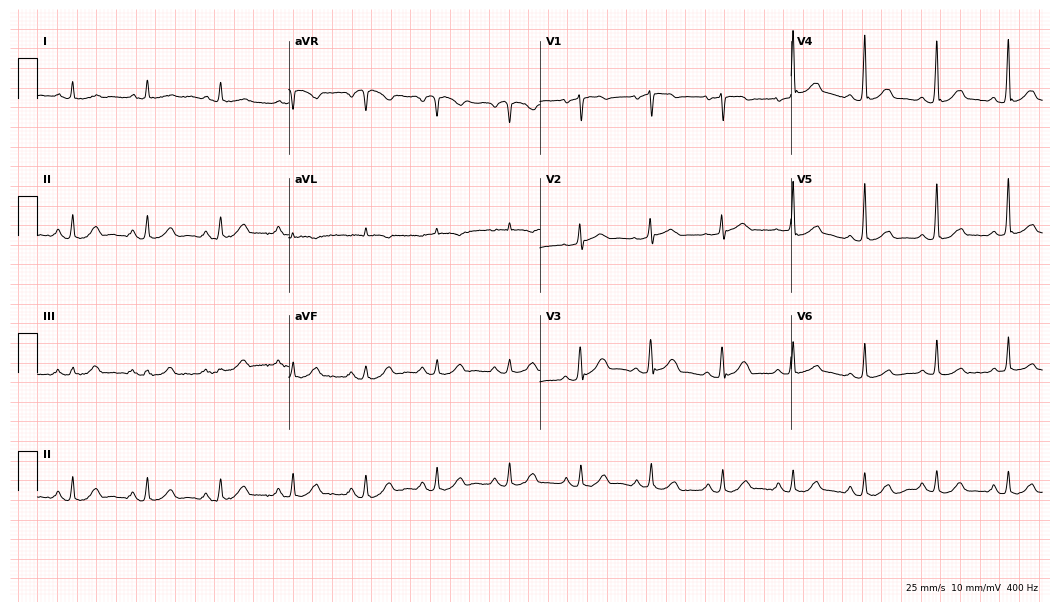
12-lead ECG from a 76-year-old female patient (10.2-second recording at 400 Hz). Recorded interpretation: within normal limits.